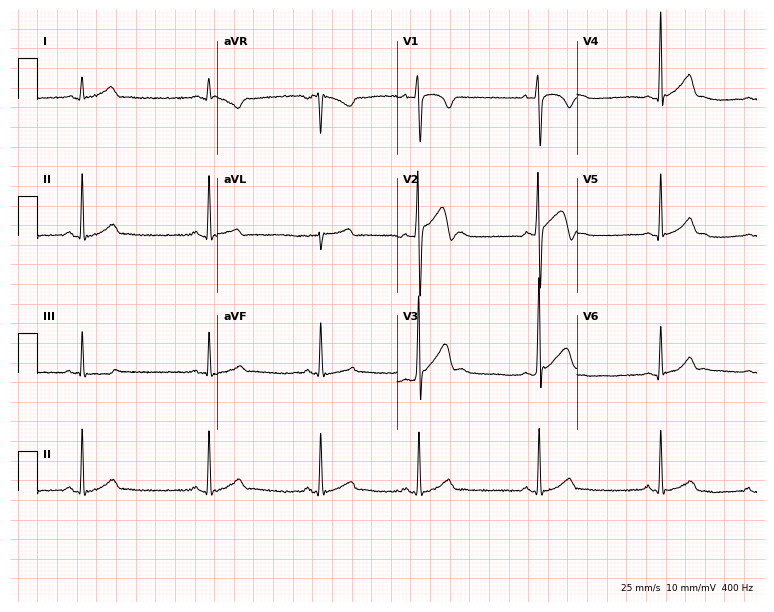
Standard 12-lead ECG recorded from a man, 17 years old. Read as a normal ECG.